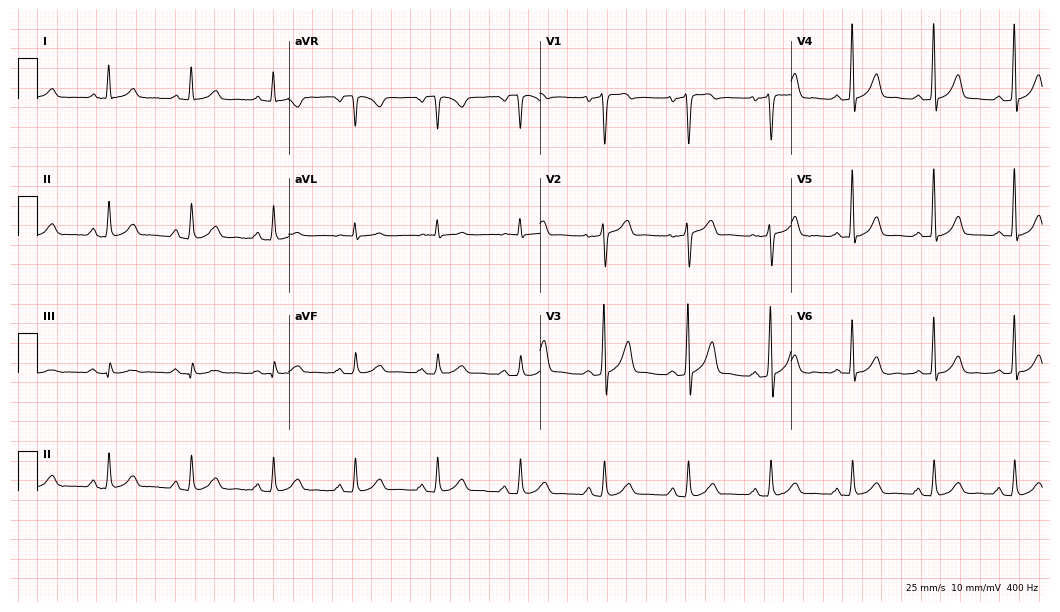
ECG (10.2-second recording at 400 Hz) — a 46-year-old man. Labelled as a normal ECG.